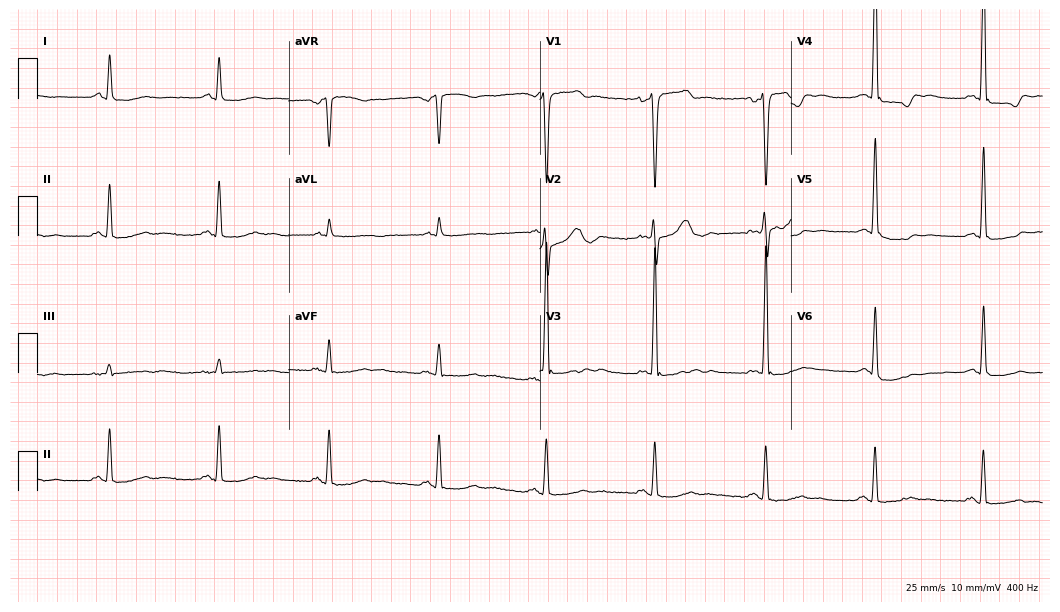
Resting 12-lead electrocardiogram. Patient: a male, 68 years old. None of these six findings is recorded: first-degree AV block, right bundle branch block (RBBB), left bundle branch block (LBBB), sinus bradycardia, atrial fibrillation (AF), sinus tachycardia.